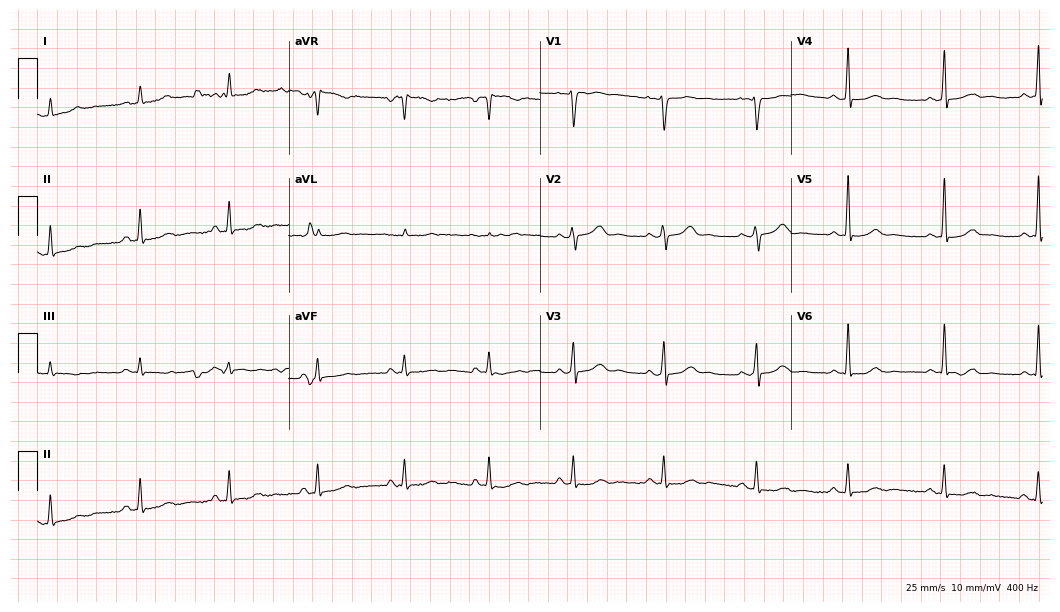
Standard 12-lead ECG recorded from a female, 39 years old (10.2-second recording at 400 Hz). None of these six findings is recorded: first-degree AV block, right bundle branch block, left bundle branch block, sinus bradycardia, atrial fibrillation, sinus tachycardia. Only these six findings were labelled.